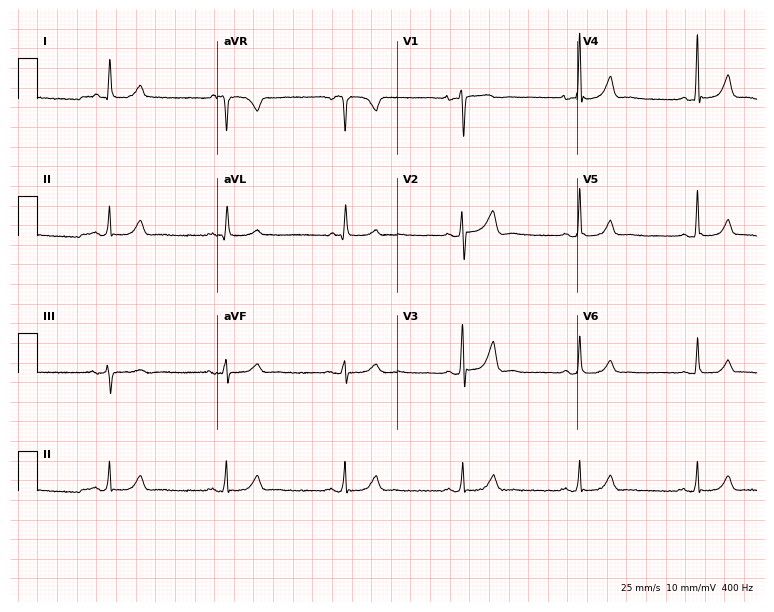
12-lead ECG from a 70-year-old male patient. Findings include sinus bradycardia (a sinus rate of 50 beats per minute or less).